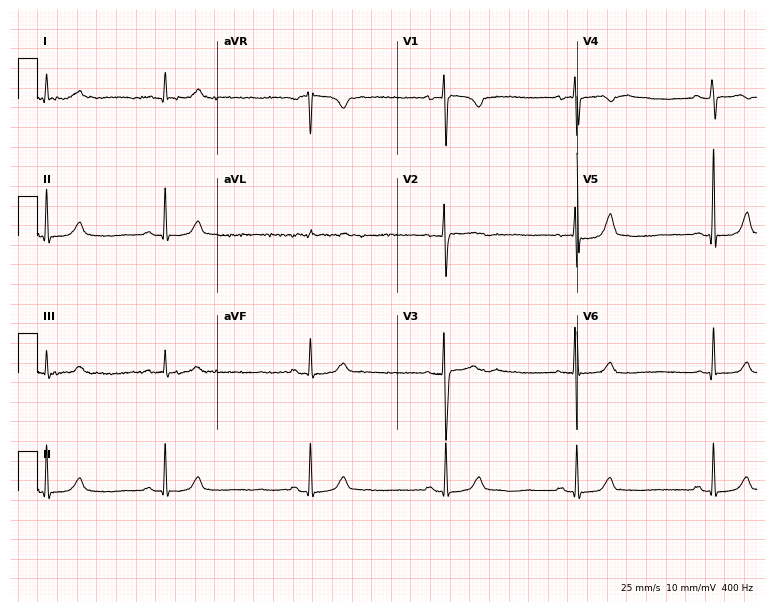
12-lead ECG (7.3-second recording at 400 Hz) from a female patient, 28 years old. Findings include sinus bradycardia (a sinus rate of 50 beats per minute or less).